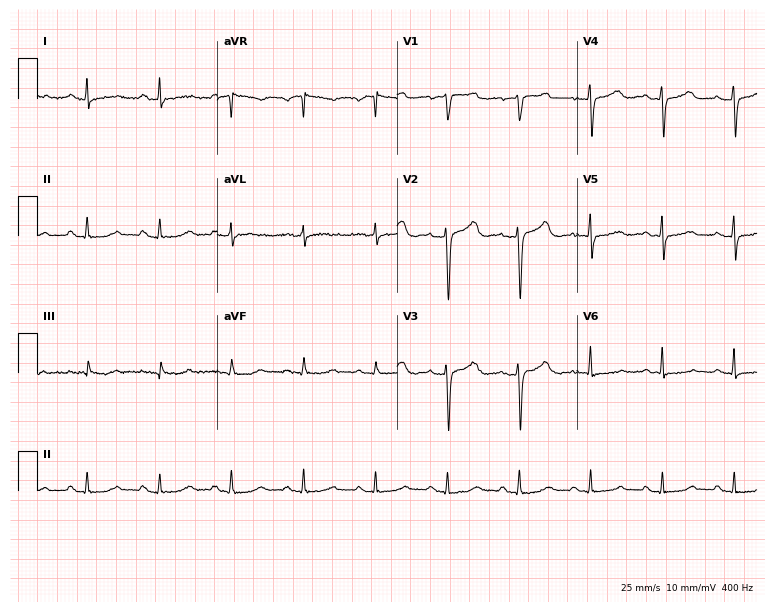
12-lead ECG (7.3-second recording at 400 Hz) from a woman, 53 years old. Screened for six findings — first-degree AV block, right bundle branch block, left bundle branch block, sinus bradycardia, atrial fibrillation, sinus tachycardia — none is recorded.